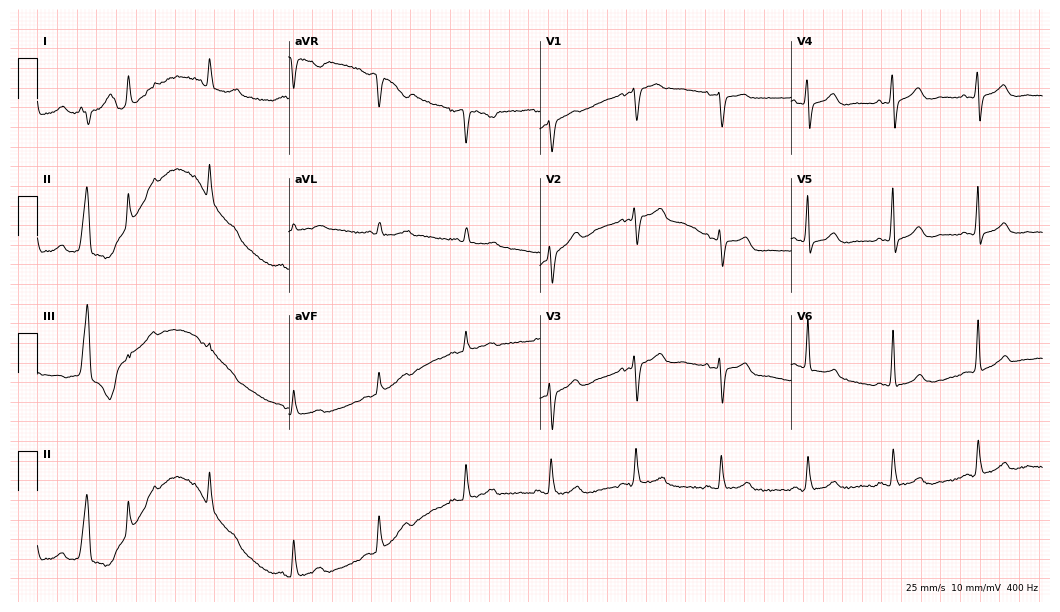
Standard 12-lead ECG recorded from a female patient, 72 years old. None of these six findings is recorded: first-degree AV block, right bundle branch block, left bundle branch block, sinus bradycardia, atrial fibrillation, sinus tachycardia. Other findings, if any, are not listed.